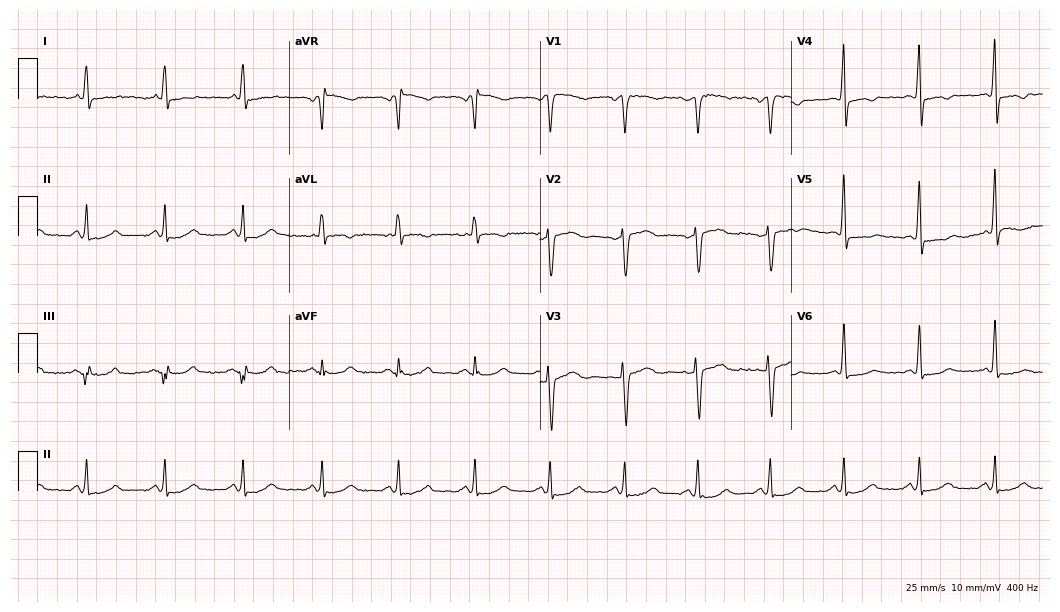
Resting 12-lead electrocardiogram (10.2-second recording at 400 Hz). Patient: a 49-year-old woman. None of these six findings is recorded: first-degree AV block, right bundle branch block (RBBB), left bundle branch block (LBBB), sinus bradycardia, atrial fibrillation (AF), sinus tachycardia.